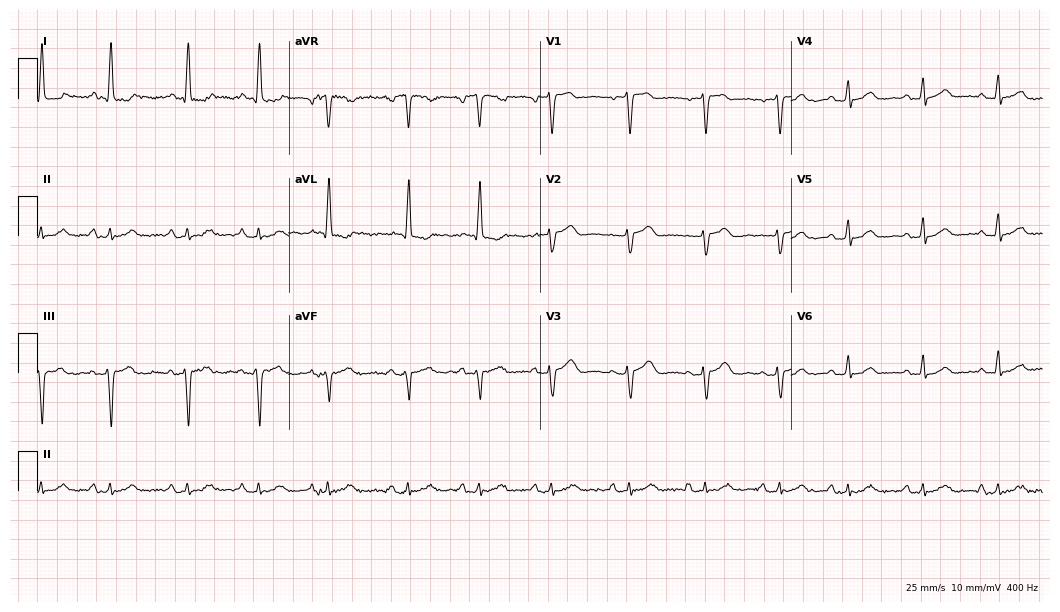
Standard 12-lead ECG recorded from a 67-year-old female patient (10.2-second recording at 400 Hz). Read as a normal ECG.